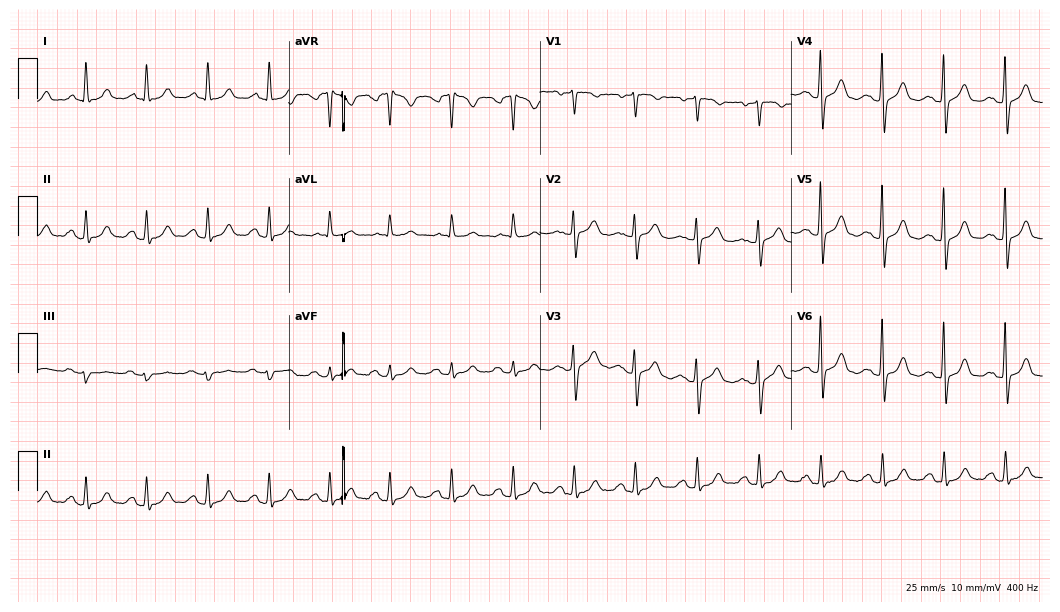
Electrocardiogram (10.2-second recording at 400 Hz), a 68-year-old woman. Of the six screened findings (first-degree AV block, right bundle branch block, left bundle branch block, sinus bradycardia, atrial fibrillation, sinus tachycardia), none is recorded.